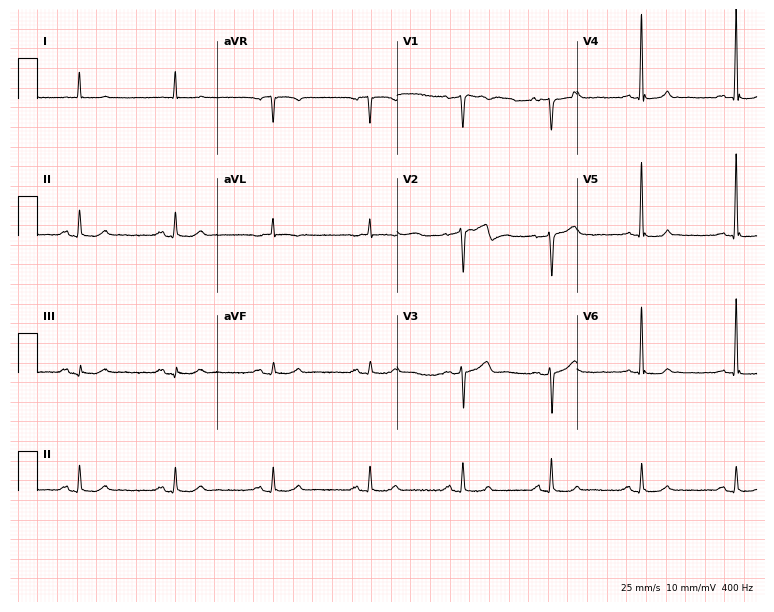
12-lead ECG from an 80-year-old female (7.3-second recording at 400 Hz). No first-degree AV block, right bundle branch block (RBBB), left bundle branch block (LBBB), sinus bradycardia, atrial fibrillation (AF) or sinus tachycardia recorded for this tracing. Only these six findings were labelled.